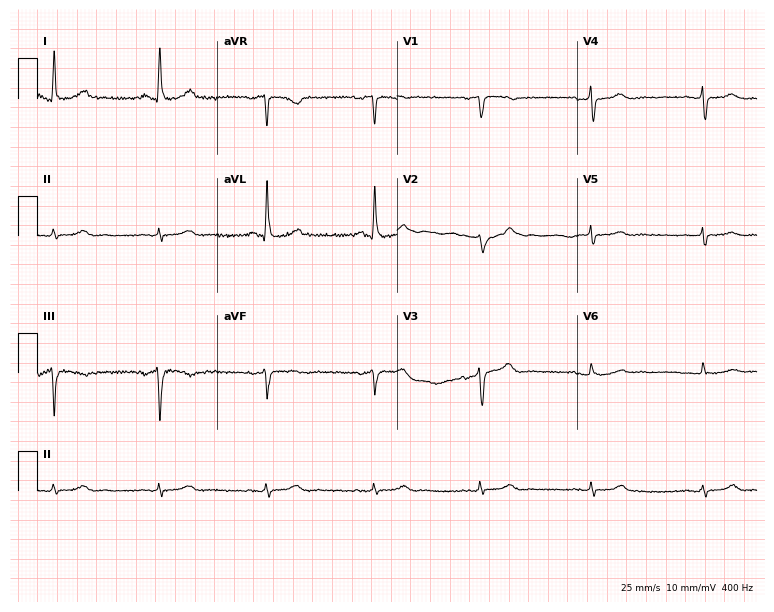
Standard 12-lead ECG recorded from a male patient, 62 years old (7.3-second recording at 400 Hz). None of these six findings is recorded: first-degree AV block, right bundle branch block, left bundle branch block, sinus bradycardia, atrial fibrillation, sinus tachycardia.